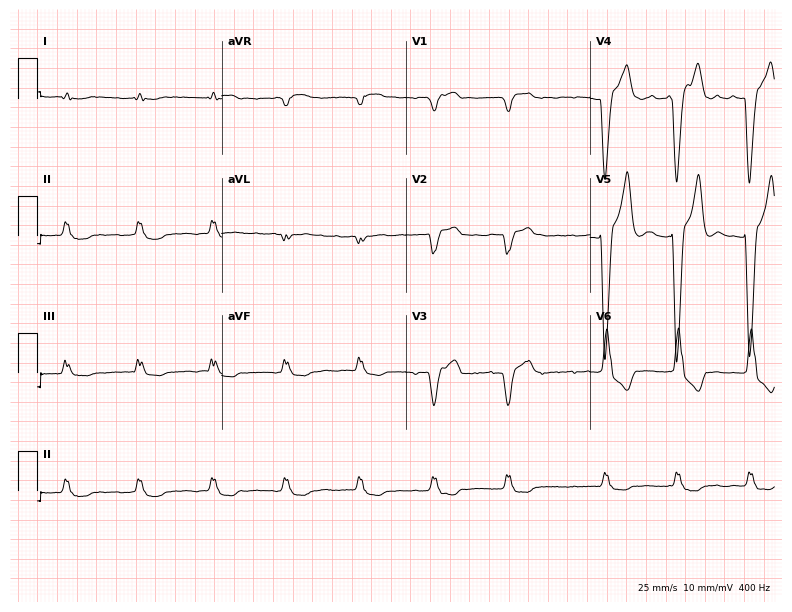
Electrocardiogram, a female, 80 years old. Interpretation includes left bundle branch block (LBBB), atrial fibrillation (AF).